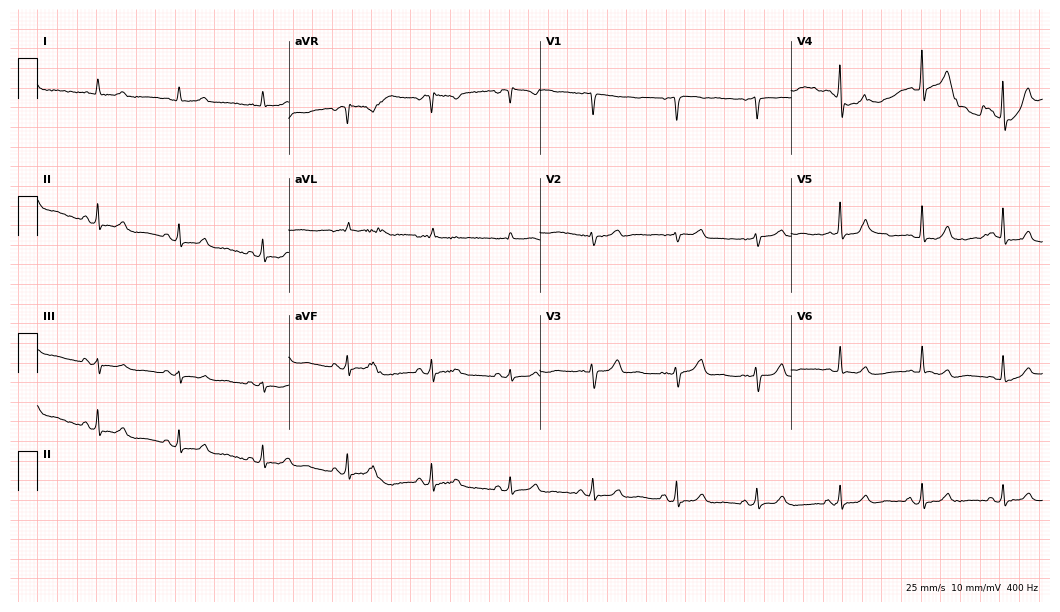
ECG (10.2-second recording at 400 Hz) — a 67-year-old woman. Labelled as a normal ECG.